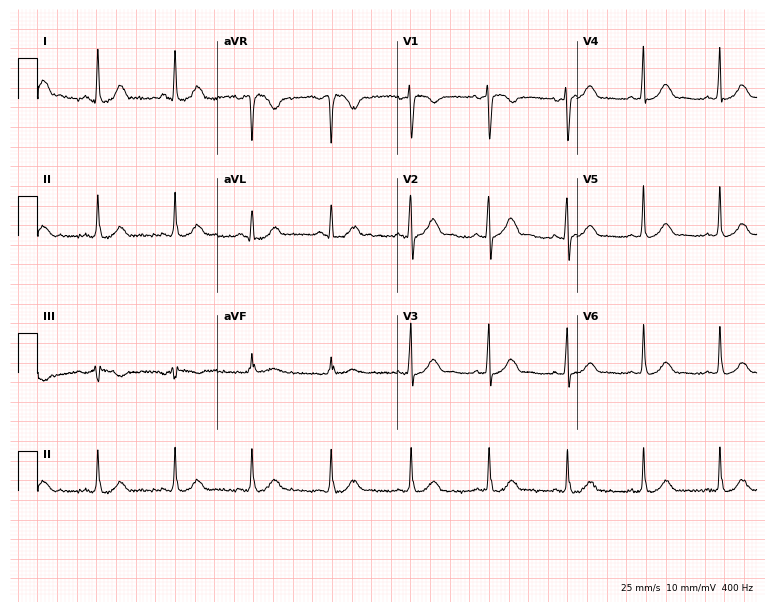
Standard 12-lead ECG recorded from a woman, 37 years old. Read as a normal ECG.